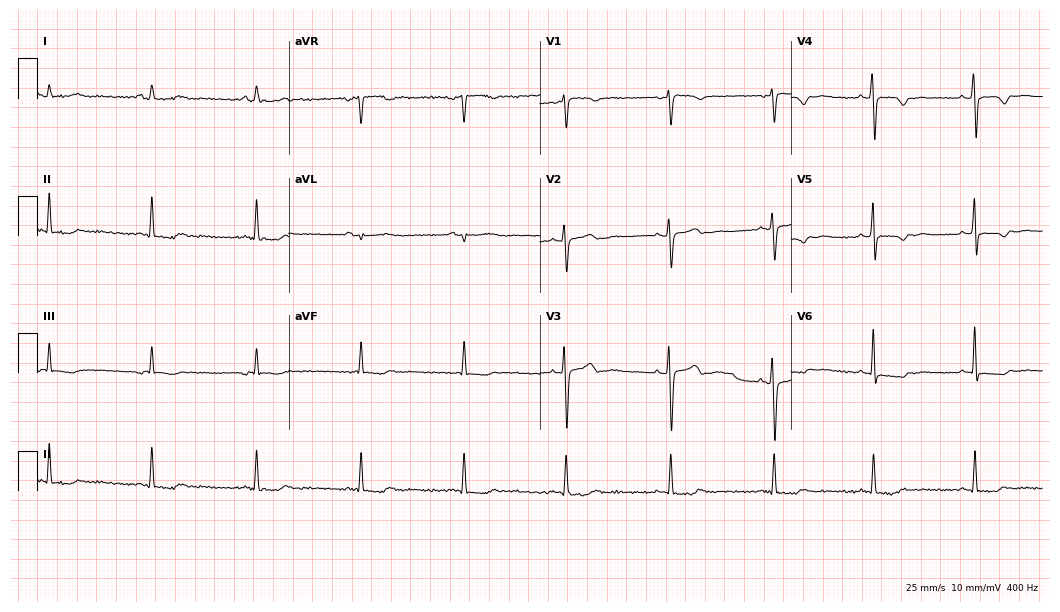
12-lead ECG from a female, 46 years old. No first-degree AV block, right bundle branch block (RBBB), left bundle branch block (LBBB), sinus bradycardia, atrial fibrillation (AF) or sinus tachycardia recorded for this tracing. Other findings, if any, are not listed.